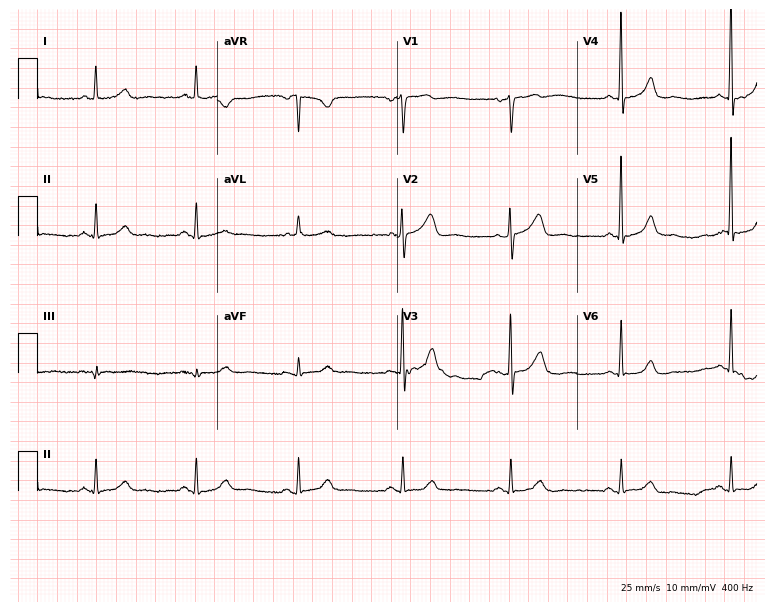
Resting 12-lead electrocardiogram. Patient: a 63-year-old woman. Read as a normal ECG.